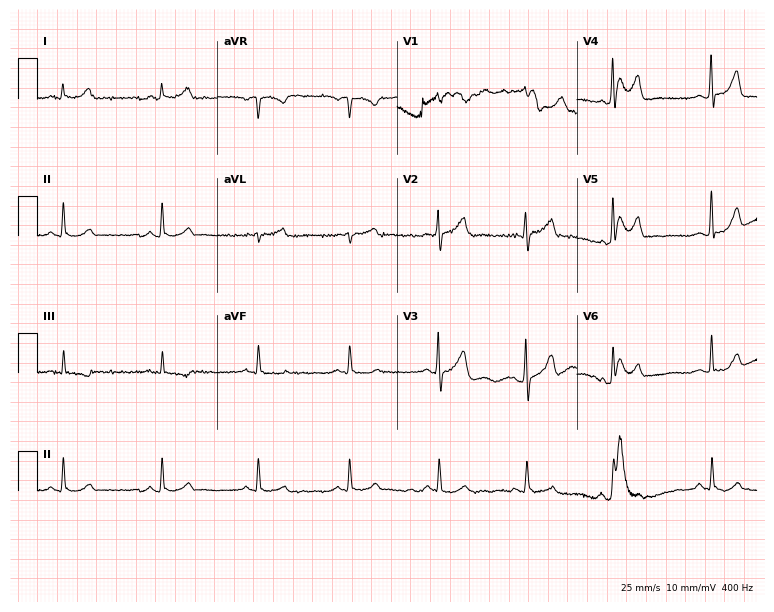
Resting 12-lead electrocardiogram (7.3-second recording at 400 Hz). Patient: a 52-year-old man. Read as a normal ECG.